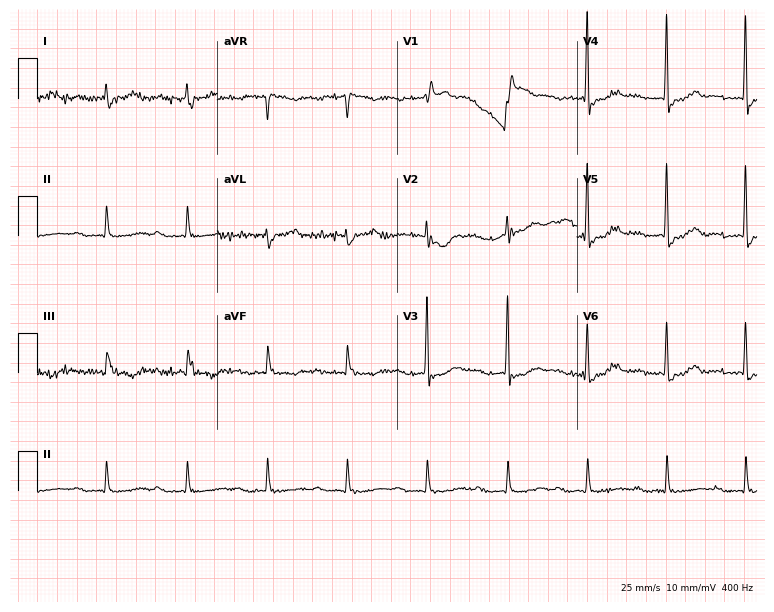
Resting 12-lead electrocardiogram. Patient: an 85-year-old male. None of these six findings is recorded: first-degree AV block, right bundle branch block, left bundle branch block, sinus bradycardia, atrial fibrillation, sinus tachycardia. Other findings, if any, are not listed.